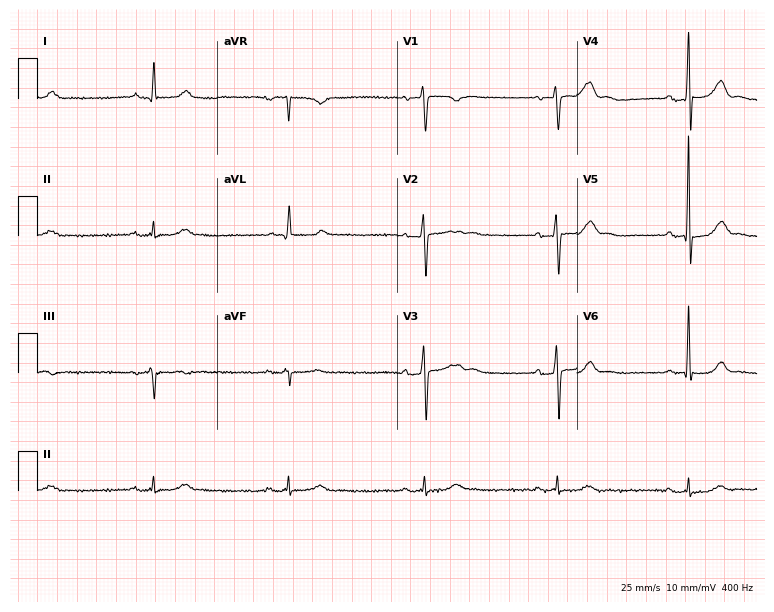
Standard 12-lead ECG recorded from a male, 73 years old (7.3-second recording at 400 Hz). None of these six findings is recorded: first-degree AV block, right bundle branch block, left bundle branch block, sinus bradycardia, atrial fibrillation, sinus tachycardia. Only these six findings were labelled.